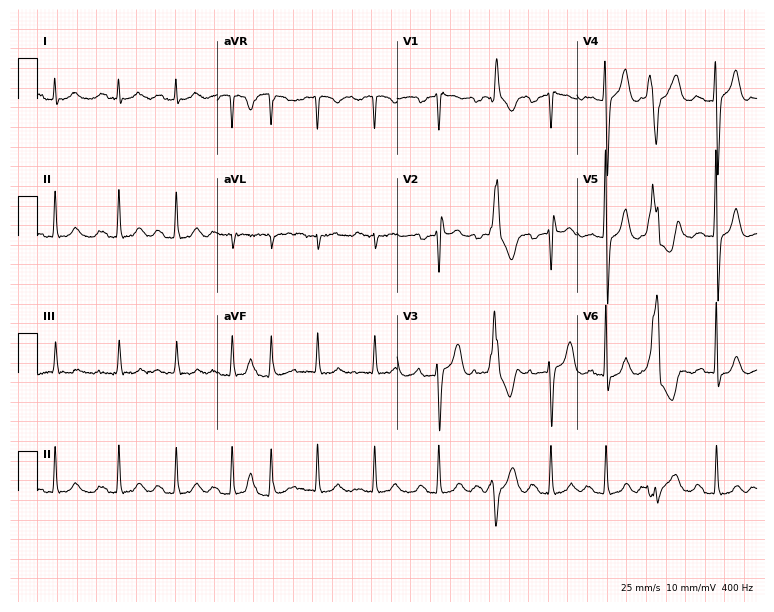
12-lead ECG from a 75-year-old man. Shows sinus tachycardia (a sinus rate of 100 beats per minute or more).